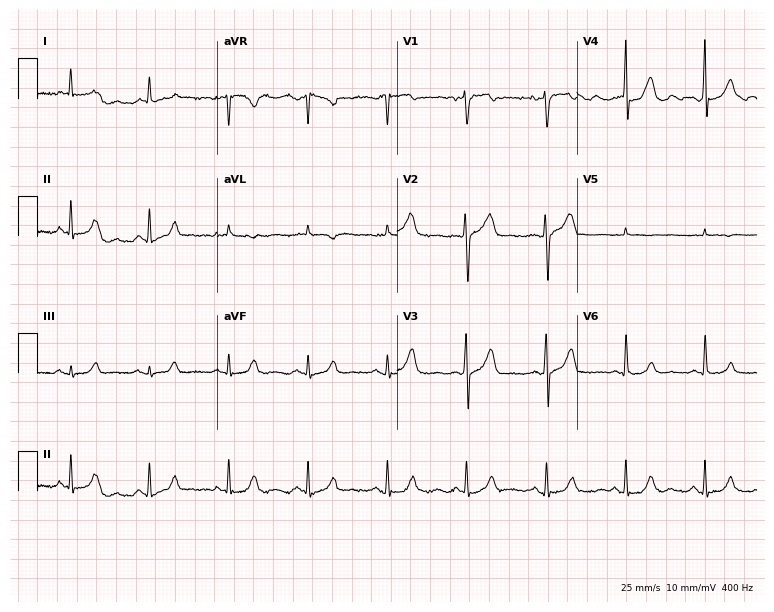
ECG — a man, 60 years old. Labelled as a normal ECG.